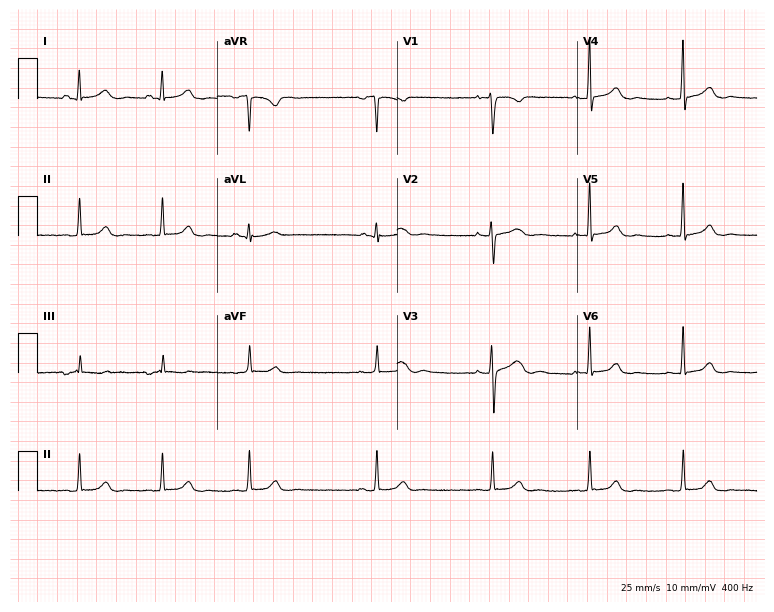
ECG — a 35-year-old woman. Labelled as a normal ECG.